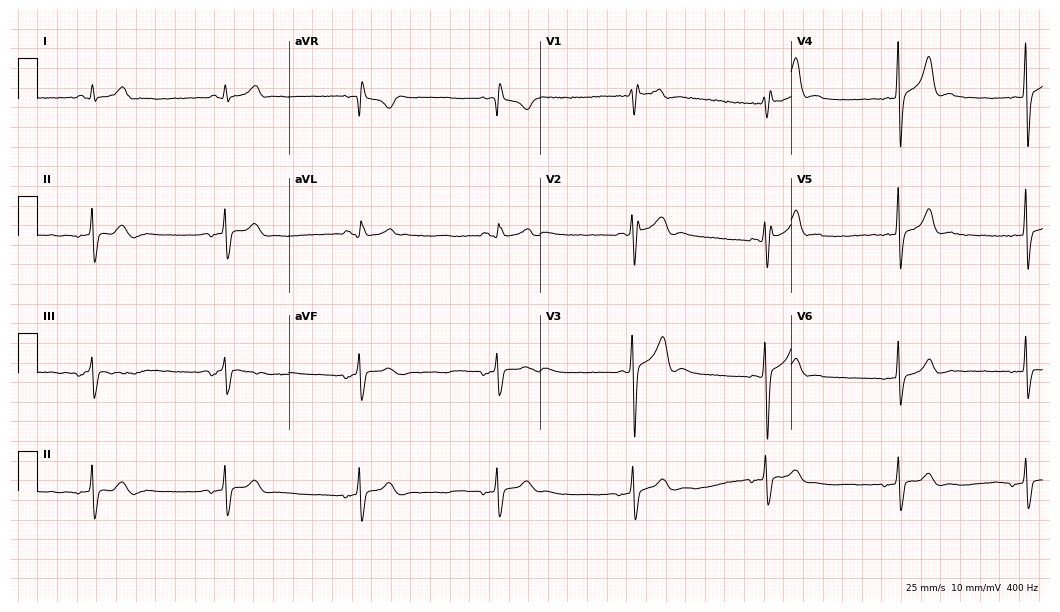
Electrocardiogram (10.2-second recording at 400 Hz), a man, 27 years old. Of the six screened findings (first-degree AV block, right bundle branch block, left bundle branch block, sinus bradycardia, atrial fibrillation, sinus tachycardia), none is recorded.